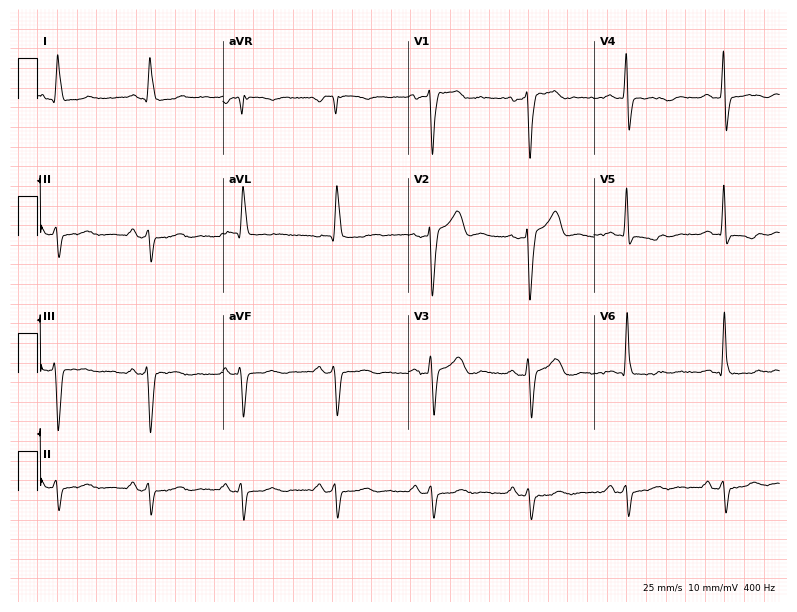
12-lead ECG from a 70-year-old male patient (7.6-second recording at 400 Hz). No first-degree AV block, right bundle branch block (RBBB), left bundle branch block (LBBB), sinus bradycardia, atrial fibrillation (AF) or sinus tachycardia recorded for this tracing.